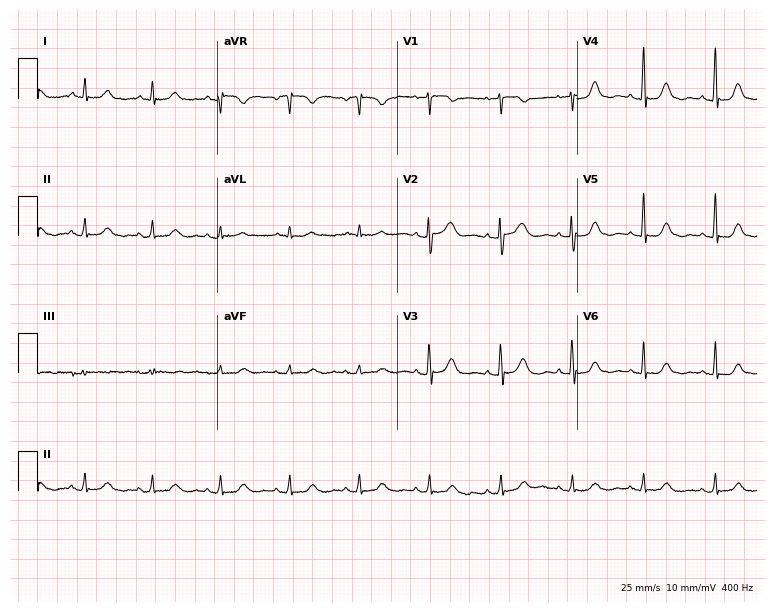
ECG — a female, 60 years old. Screened for six findings — first-degree AV block, right bundle branch block, left bundle branch block, sinus bradycardia, atrial fibrillation, sinus tachycardia — none is recorded.